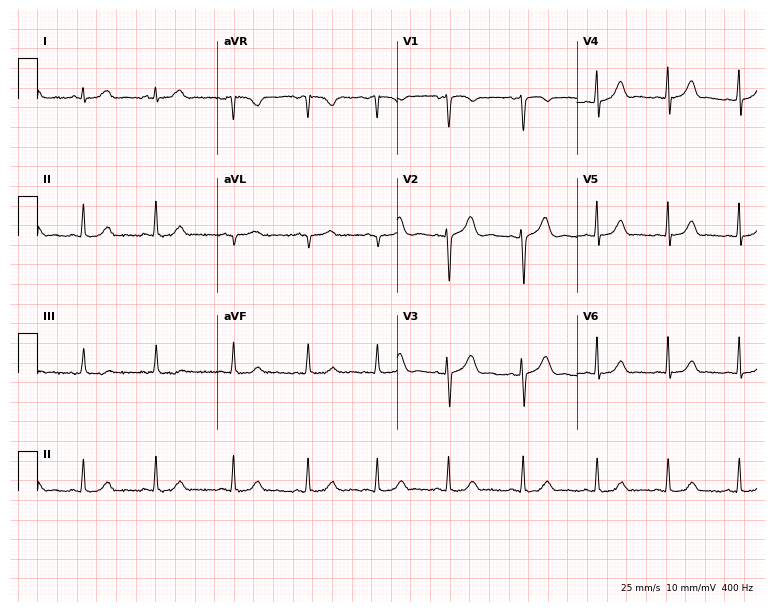
ECG — a 20-year-old female. Labelled as a normal ECG.